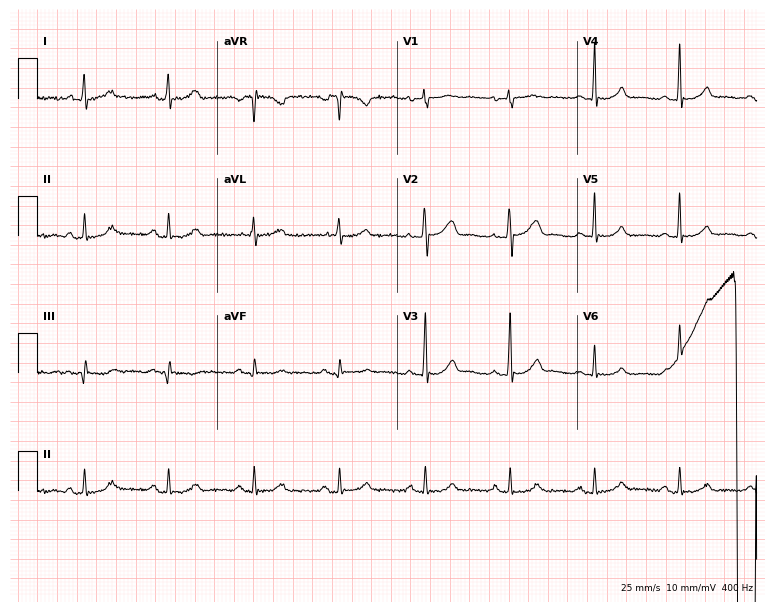
Electrocardiogram, a female, 61 years old. Overall reading on record: normal ECG.